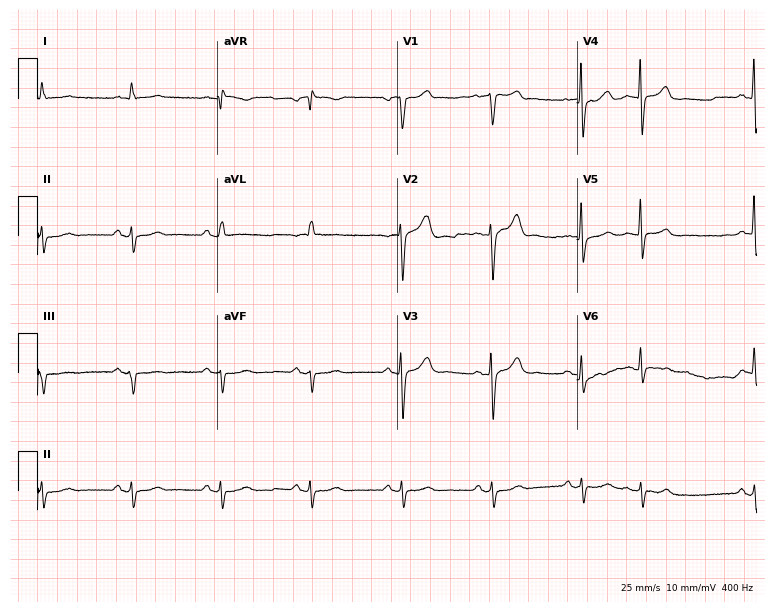
Resting 12-lead electrocardiogram (7.3-second recording at 400 Hz). Patient: a man, 68 years old. None of these six findings is recorded: first-degree AV block, right bundle branch block, left bundle branch block, sinus bradycardia, atrial fibrillation, sinus tachycardia. Findings outside these six are not listed.